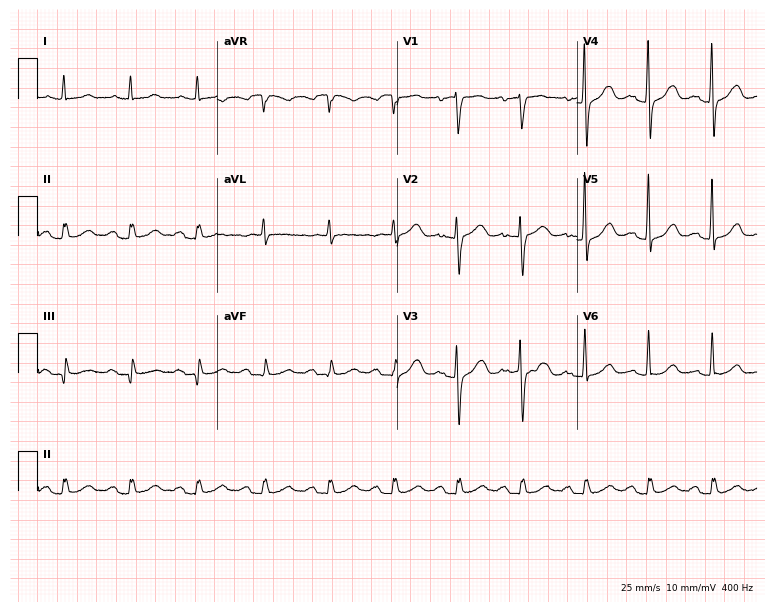
12-lead ECG from a male patient, 74 years old. Labelled as a normal ECG.